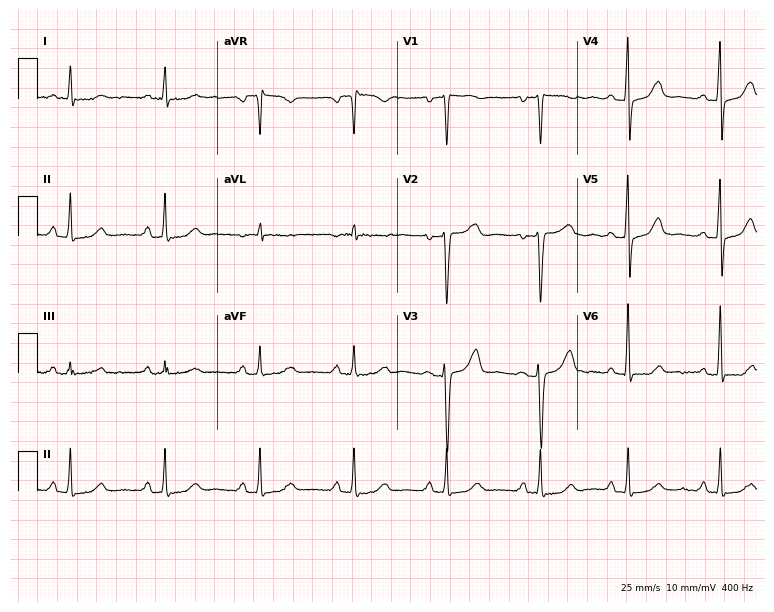
Standard 12-lead ECG recorded from a 45-year-old female patient. Read as a normal ECG.